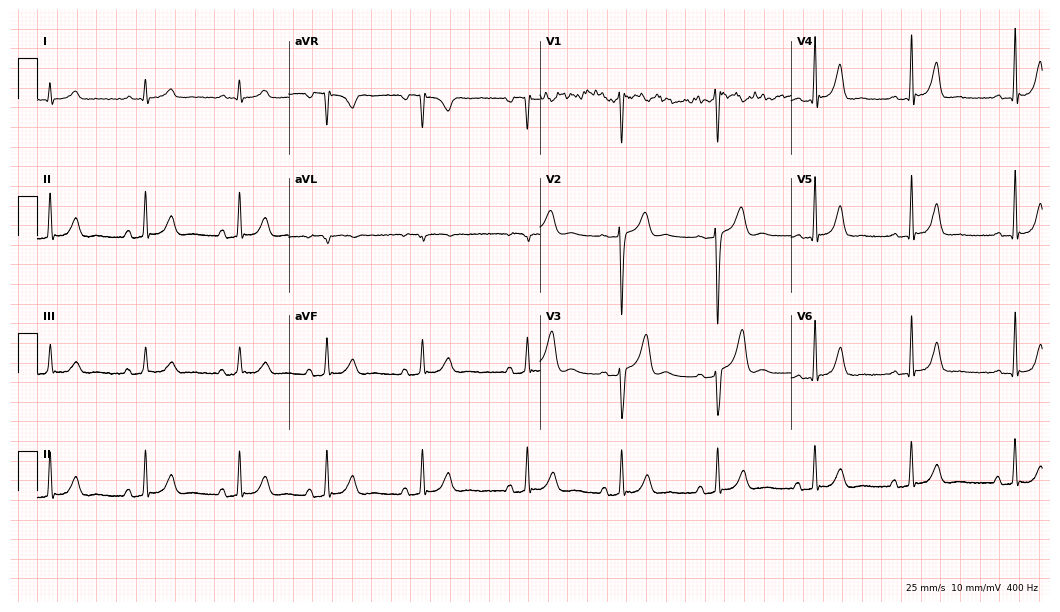
Standard 12-lead ECG recorded from a male patient, 33 years old (10.2-second recording at 400 Hz). None of these six findings is recorded: first-degree AV block, right bundle branch block, left bundle branch block, sinus bradycardia, atrial fibrillation, sinus tachycardia.